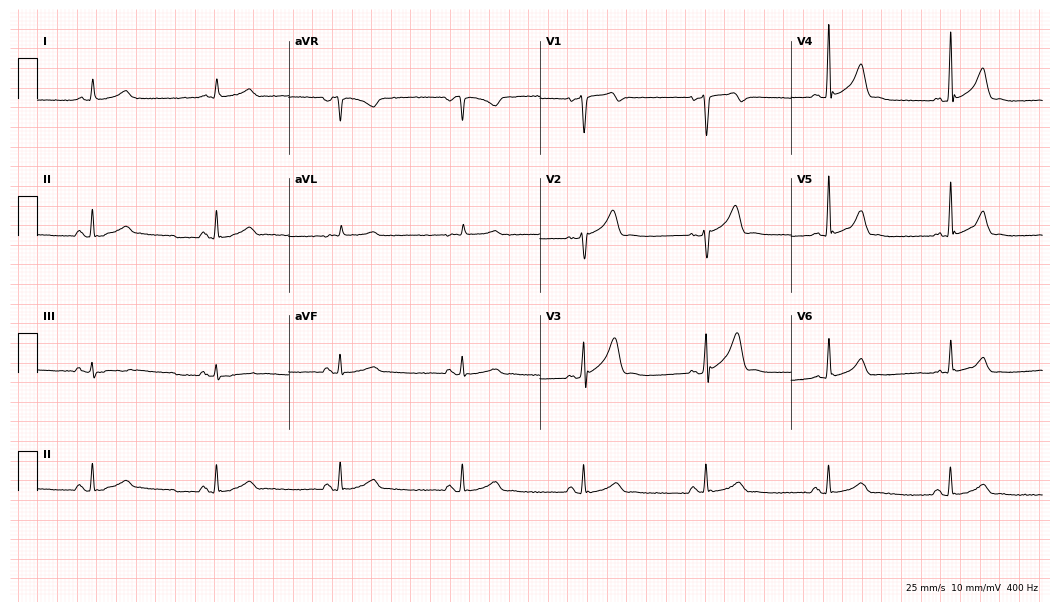
Electrocardiogram, a 57-year-old male. Overall reading on record: normal ECG.